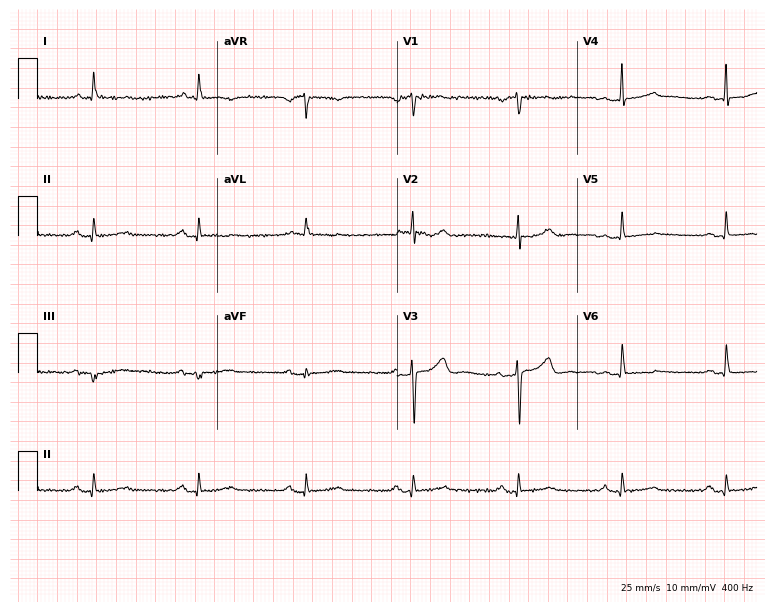
ECG — a 60-year-old female patient. Screened for six findings — first-degree AV block, right bundle branch block, left bundle branch block, sinus bradycardia, atrial fibrillation, sinus tachycardia — none is recorded. Findings outside these six are not listed.